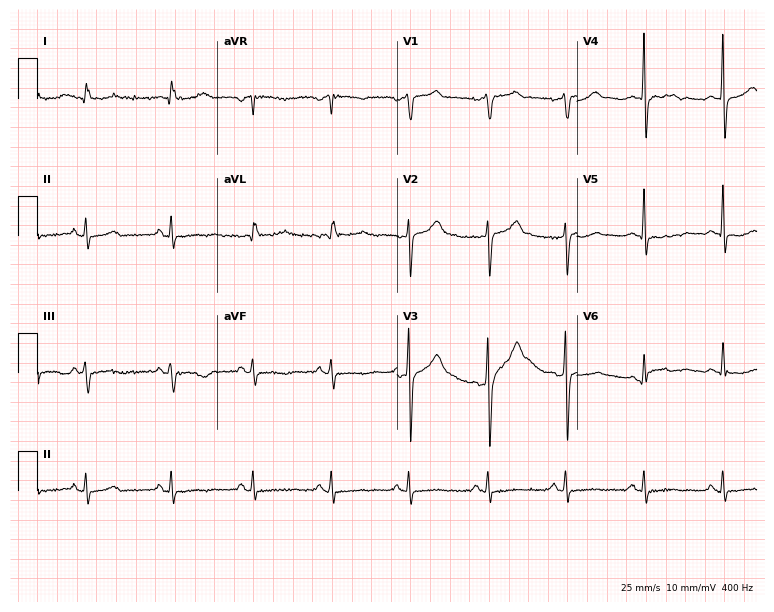
12-lead ECG from a male, 74 years old. Screened for six findings — first-degree AV block, right bundle branch block, left bundle branch block, sinus bradycardia, atrial fibrillation, sinus tachycardia — none is recorded. Other findings, if any, are not listed.